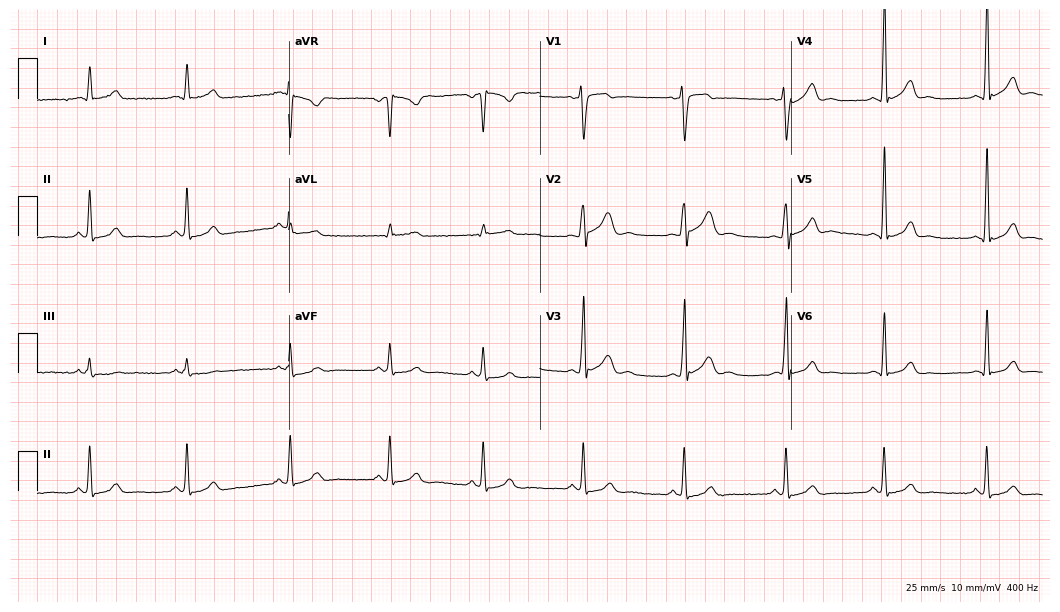
12-lead ECG from a man, 27 years old. Recorded interpretation: within normal limits.